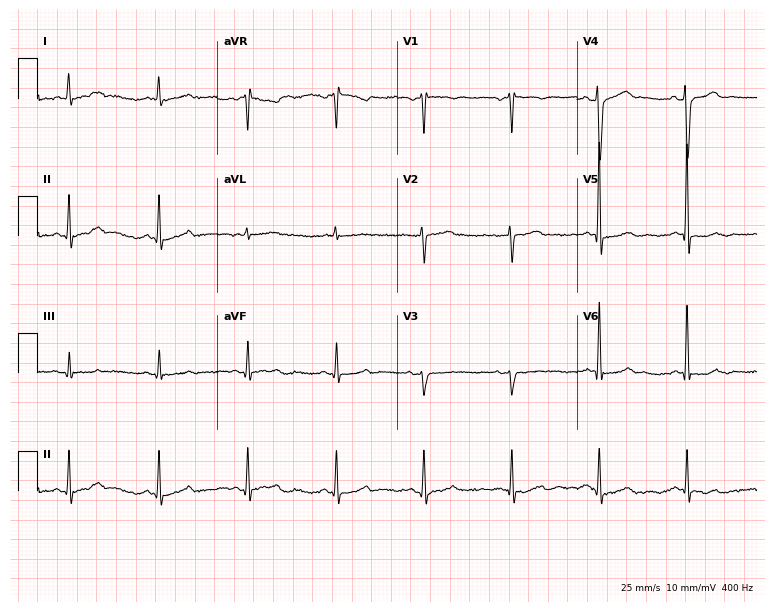
Resting 12-lead electrocardiogram. Patient: a man, 56 years old. None of these six findings is recorded: first-degree AV block, right bundle branch block, left bundle branch block, sinus bradycardia, atrial fibrillation, sinus tachycardia.